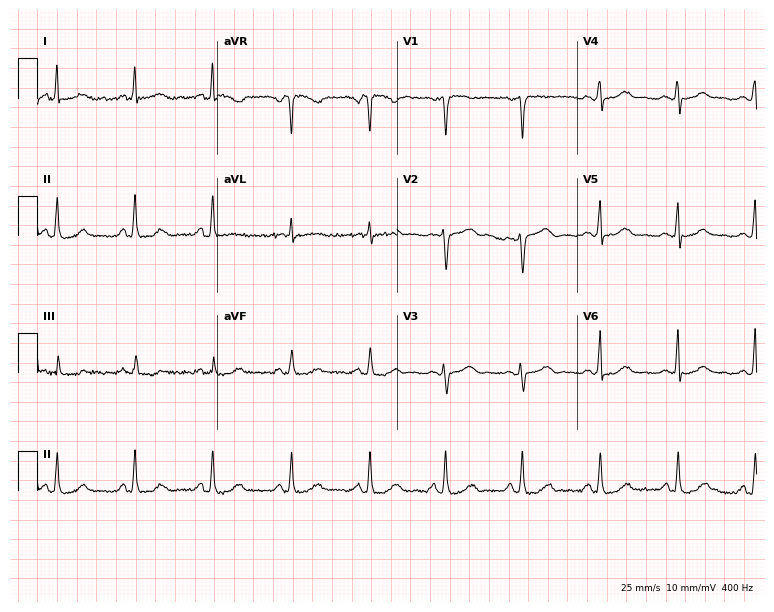
Standard 12-lead ECG recorded from a female patient, 47 years old. None of these six findings is recorded: first-degree AV block, right bundle branch block (RBBB), left bundle branch block (LBBB), sinus bradycardia, atrial fibrillation (AF), sinus tachycardia.